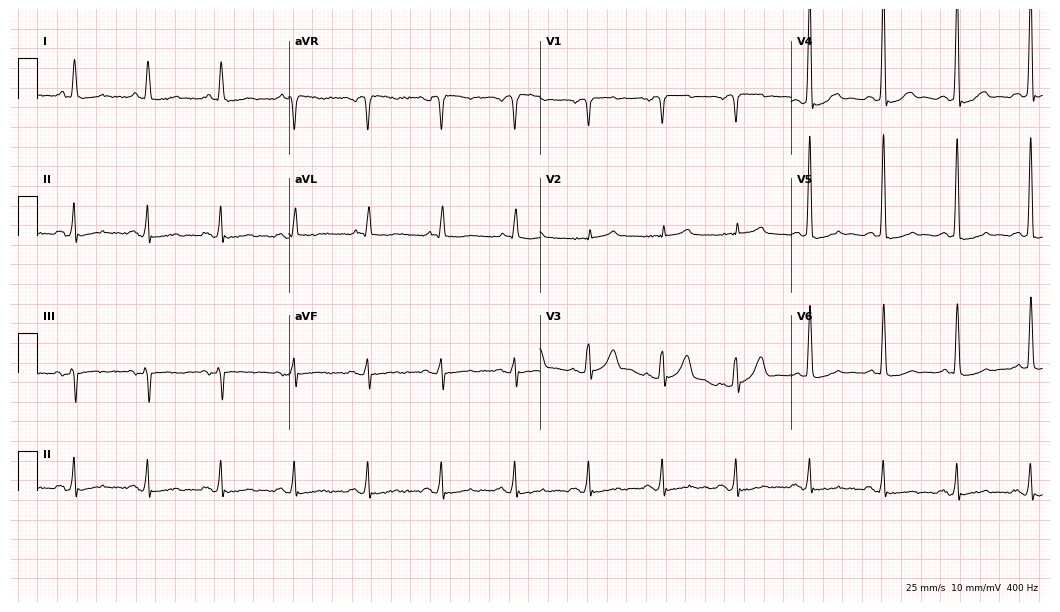
12-lead ECG from an 82-year-old male patient. Recorded interpretation: within normal limits.